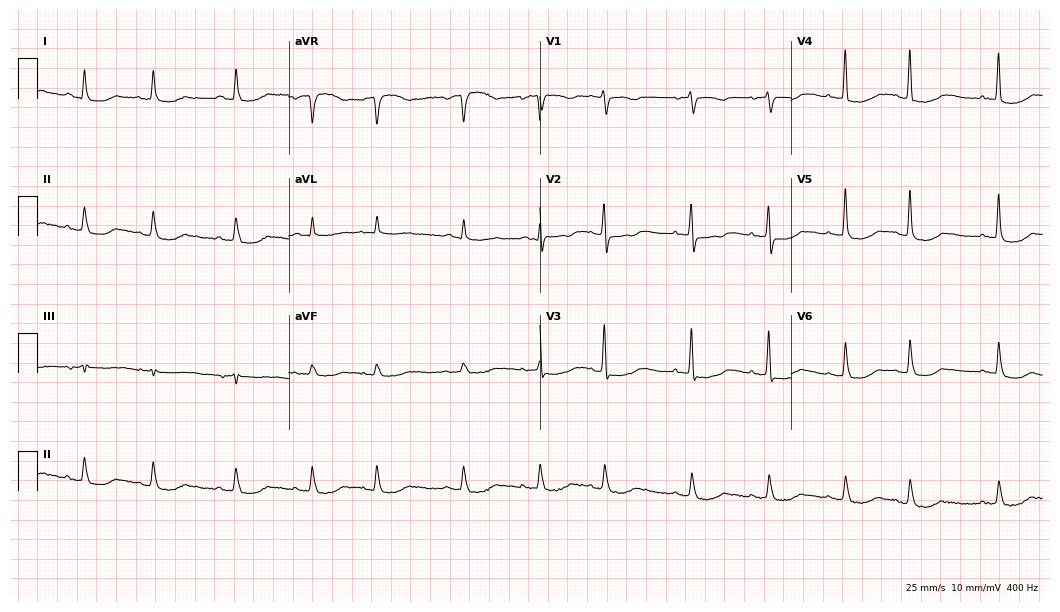
12-lead ECG from an 81-year-old female patient. No first-degree AV block, right bundle branch block (RBBB), left bundle branch block (LBBB), sinus bradycardia, atrial fibrillation (AF) or sinus tachycardia recorded for this tracing. Other findings, if any, are not listed.